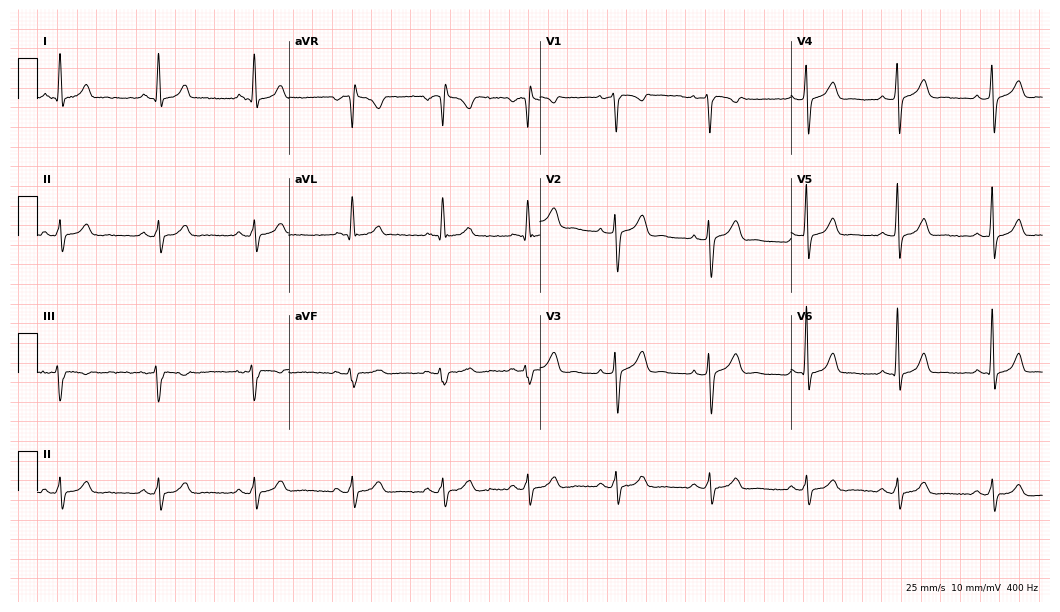
12-lead ECG from a female, 31 years old. Screened for six findings — first-degree AV block, right bundle branch block (RBBB), left bundle branch block (LBBB), sinus bradycardia, atrial fibrillation (AF), sinus tachycardia — none is recorded. Other findings, if any, are not listed.